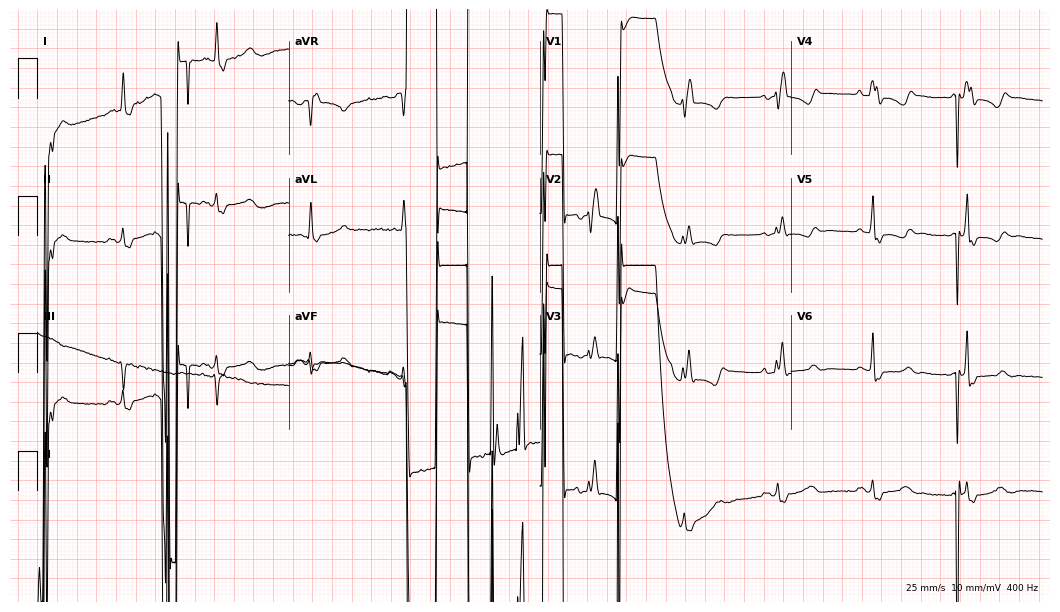
Standard 12-lead ECG recorded from a woman, 74 years old. None of these six findings is recorded: first-degree AV block, right bundle branch block, left bundle branch block, sinus bradycardia, atrial fibrillation, sinus tachycardia.